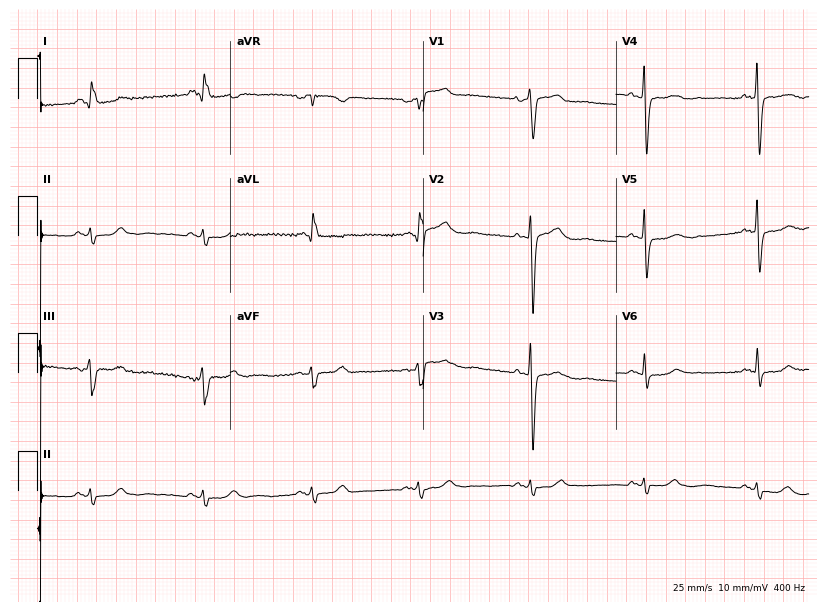
Standard 12-lead ECG recorded from a 68-year-old male (7.9-second recording at 400 Hz). None of these six findings is recorded: first-degree AV block, right bundle branch block, left bundle branch block, sinus bradycardia, atrial fibrillation, sinus tachycardia.